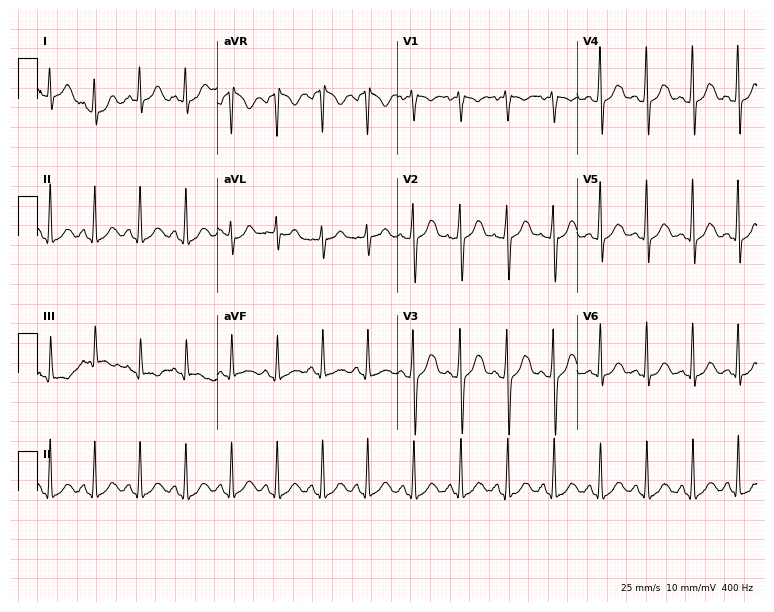
Standard 12-lead ECG recorded from a 27-year-old female (7.3-second recording at 400 Hz). The tracing shows sinus tachycardia (a sinus rate of 100 beats per minute or more).